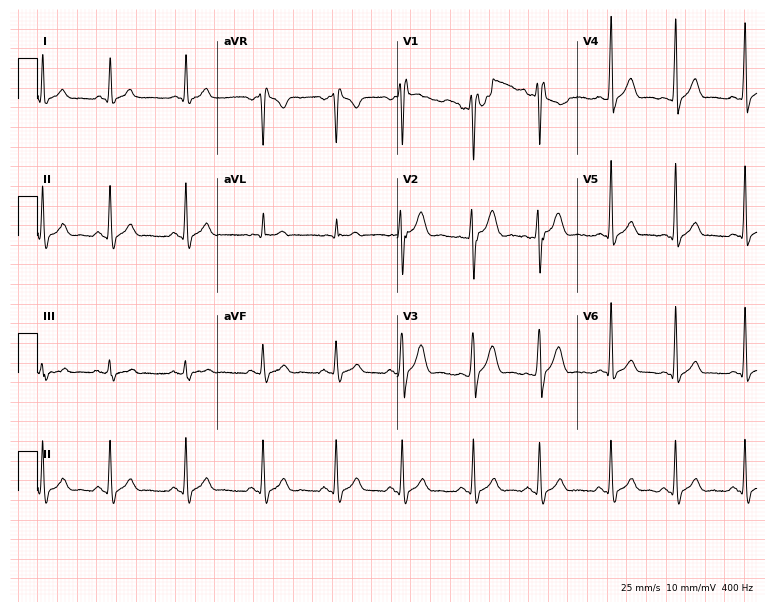
12-lead ECG (7.3-second recording at 400 Hz) from a 27-year-old man. Screened for six findings — first-degree AV block, right bundle branch block, left bundle branch block, sinus bradycardia, atrial fibrillation, sinus tachycardia — none is recorded.